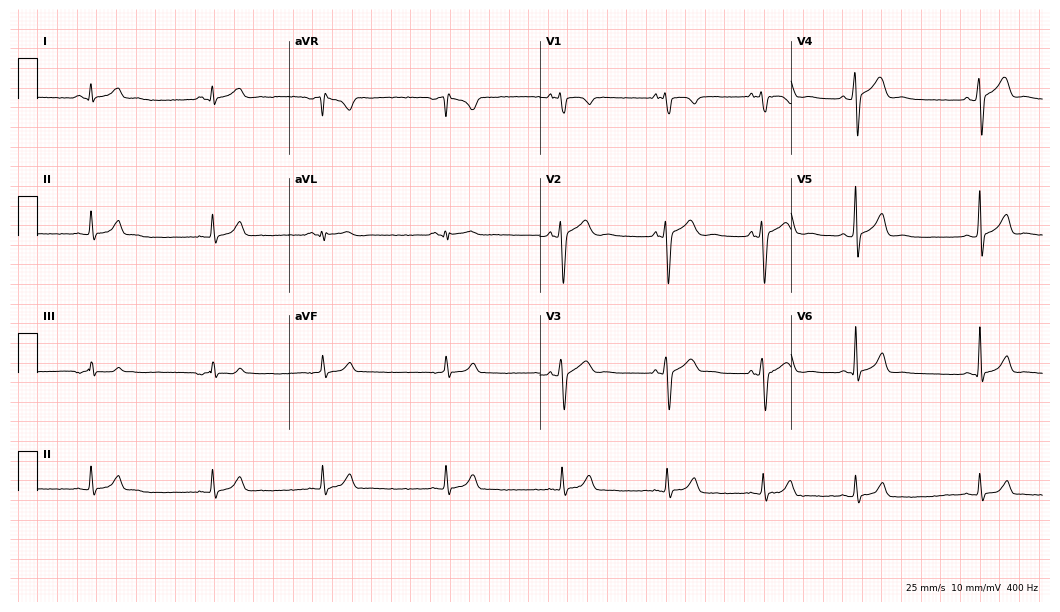
Resting 12-lead electrocardiogram. Patient: a 17-year-old male. Read as a normal ECG.